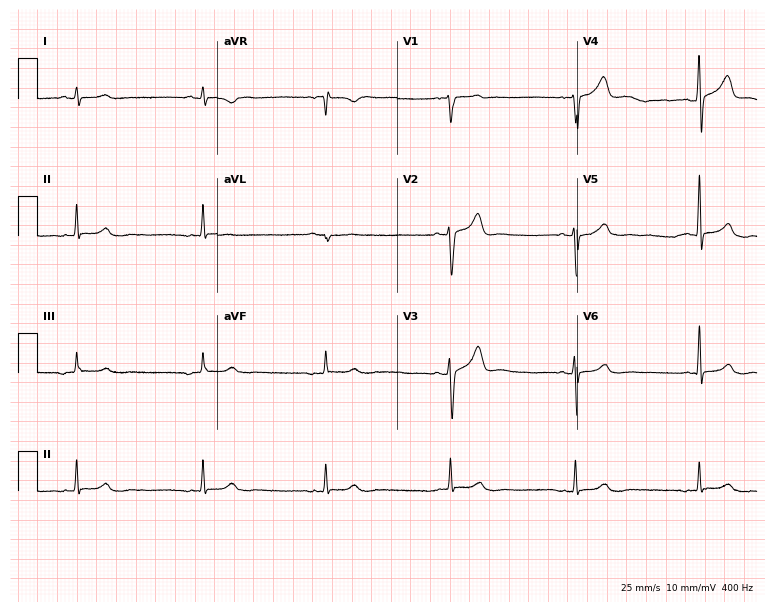
Standard 12-lead ECG recorded from a 49-year-old male patient (7.3-second recording at 400 Hz). None of these six findings is recorded: first-degree AV block, right bundle branch block, left bundle branch block, sinus bradycardia, atrial fibrillation, sinus tachycardia.